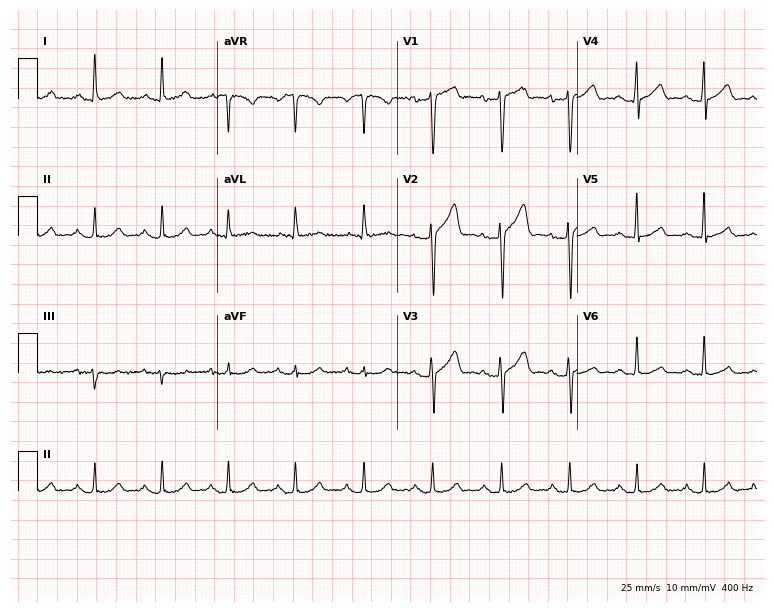
12-lead ECG from a 55-year-old man (7.3-second recording at 400 Hz). Recorded interpretation: within normal limits.